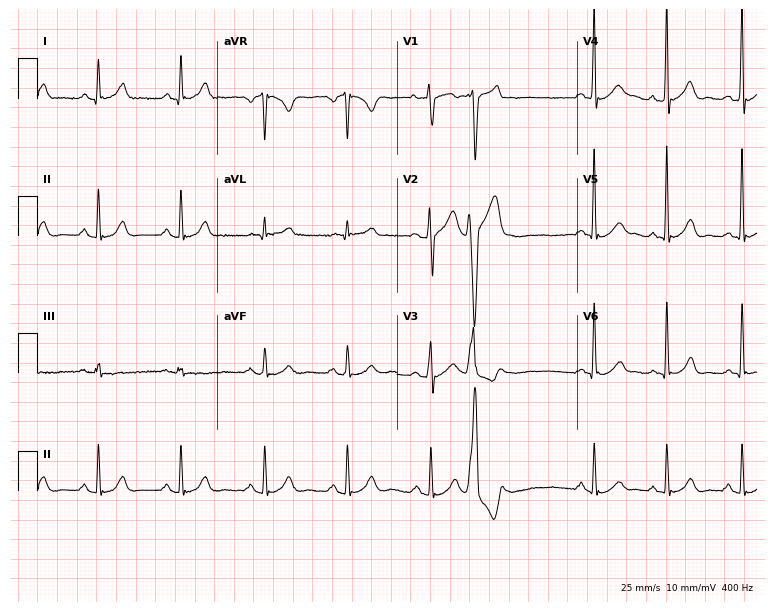
Standard 12-lead ECG recorded from a 45-year-old female patient. Read as a normal ECG.